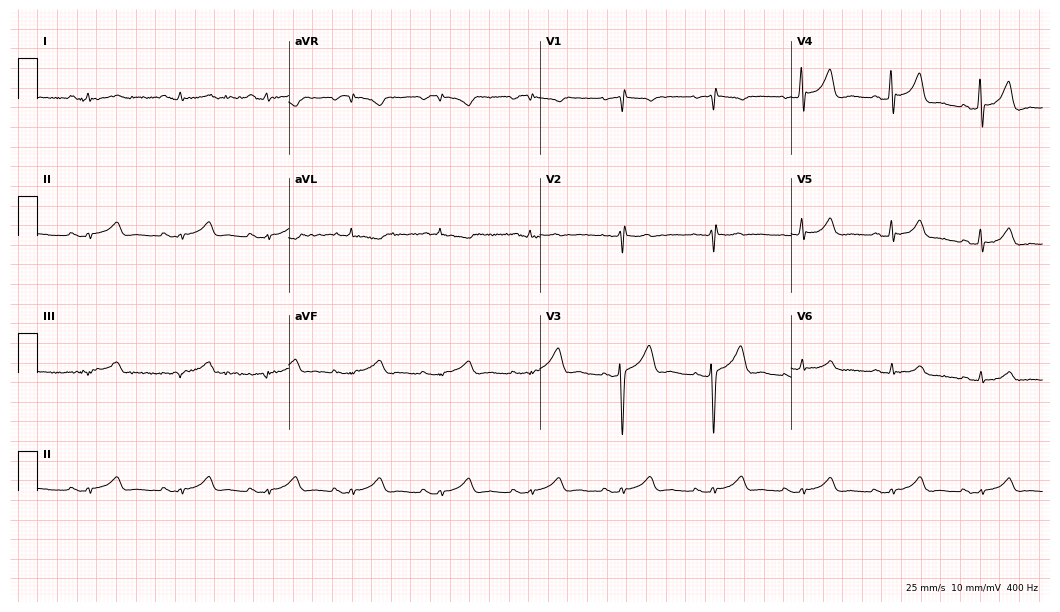
12-lead ECG from a female, 36 years old. Screened for six findings — first-degree AV block, right bundle branch block, left bundle branch block, sinus bradycardia, atrial fibrillation, sinus tachycardia — none is recorded.